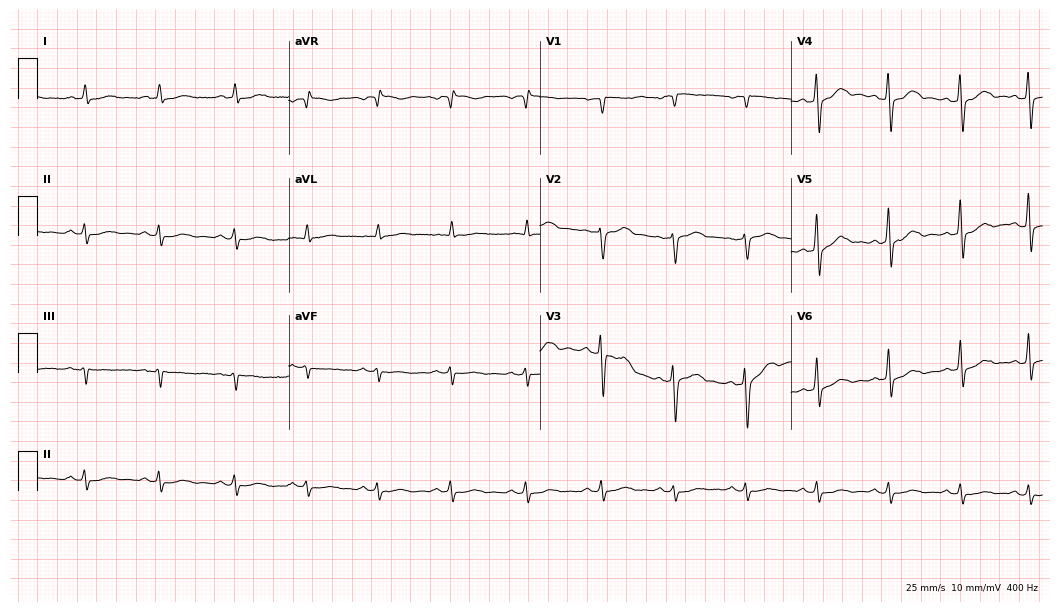
12-lead ECG (10.2-second recording at 400 Hz) from a male patient, 55 years old. Screened for six findings — first-degree AV block, right bundle branch block, left bundle branch block, sinus bradycardia, atrial fibrillation, sinus tachycardia — none is recorded.